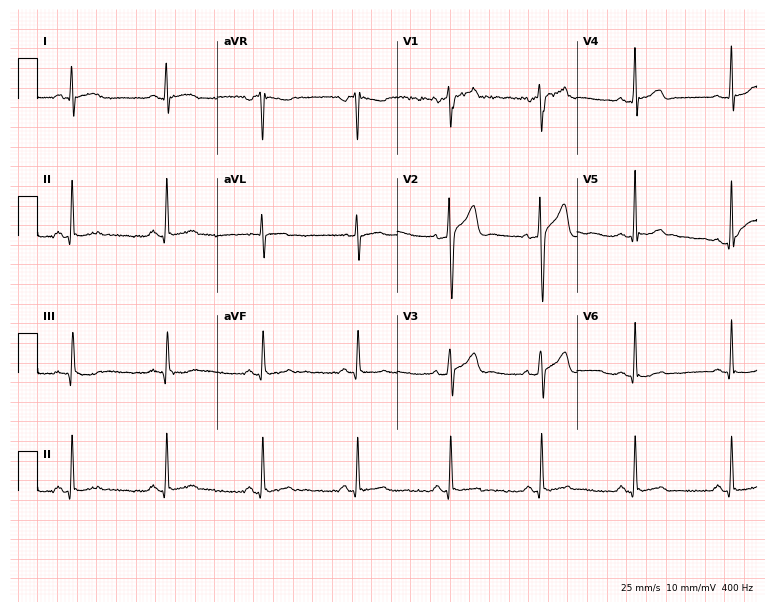
Standard 12-lead ECG recorded from a 39-year-old male. None of these six findings is recorded: first-degree AV block, right bundle branch block, left bundle branch block, sinus bradycardia, atrial fibrillation, sinus tachycardia.